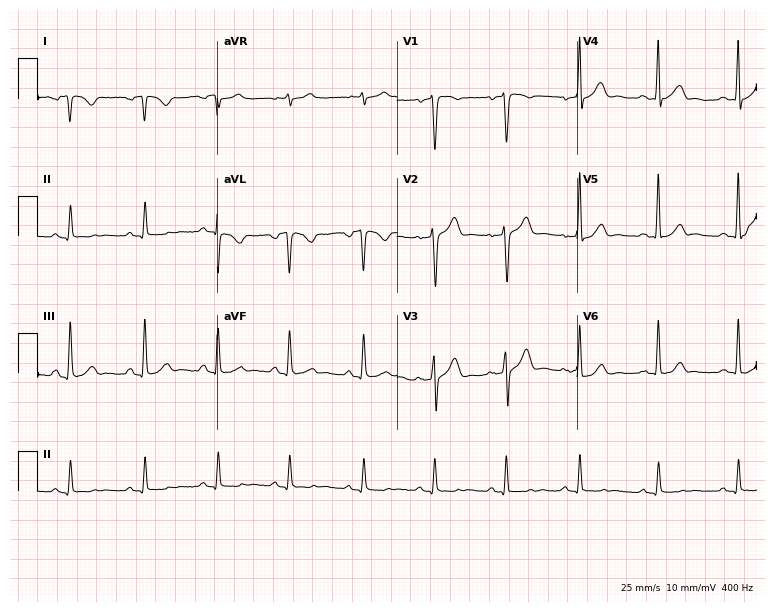
Resting 12-lead electrocardiogram (7.3-second recording at 400 Hz). Patient: a male, 25 years old. None of these six findings is recorded: first-degree AV block, right bundle branch block, left bundle branch block, sinus bradycardia, atrial fibrillation, sinus tachycardia. Findings outside these six are not listed.